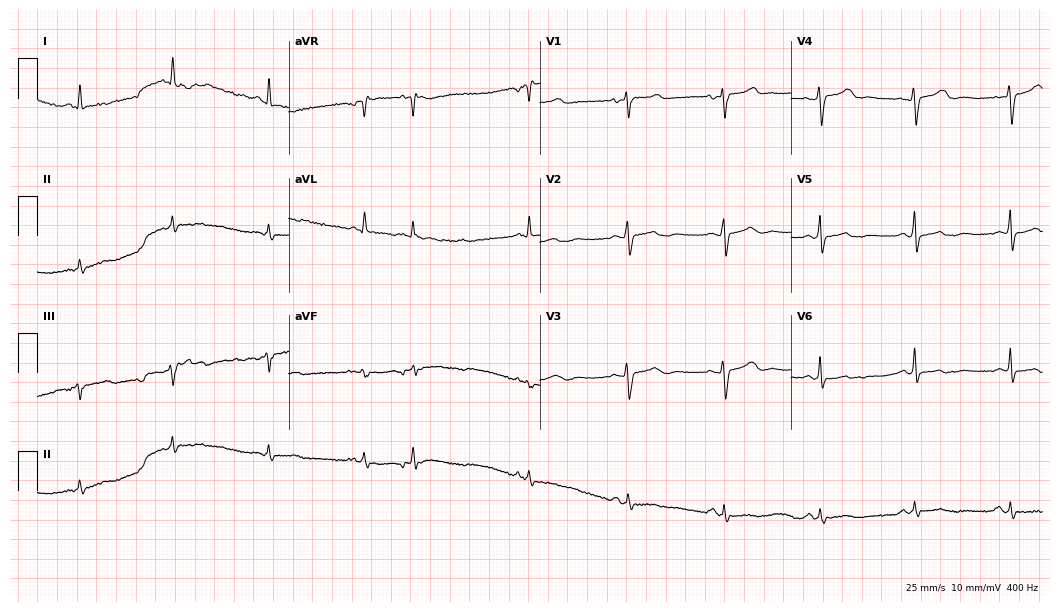
12-lead ECG (10.2-second recording at 400 Hz) from a 60-year-old woman. Screened for six findings — first-degree AV block, right bundle branch block (RBBB), left bundle branch block (LBBB), sinus bradycardia, atrial fibrillation (AF), sinus tachycardia — none is recorded.